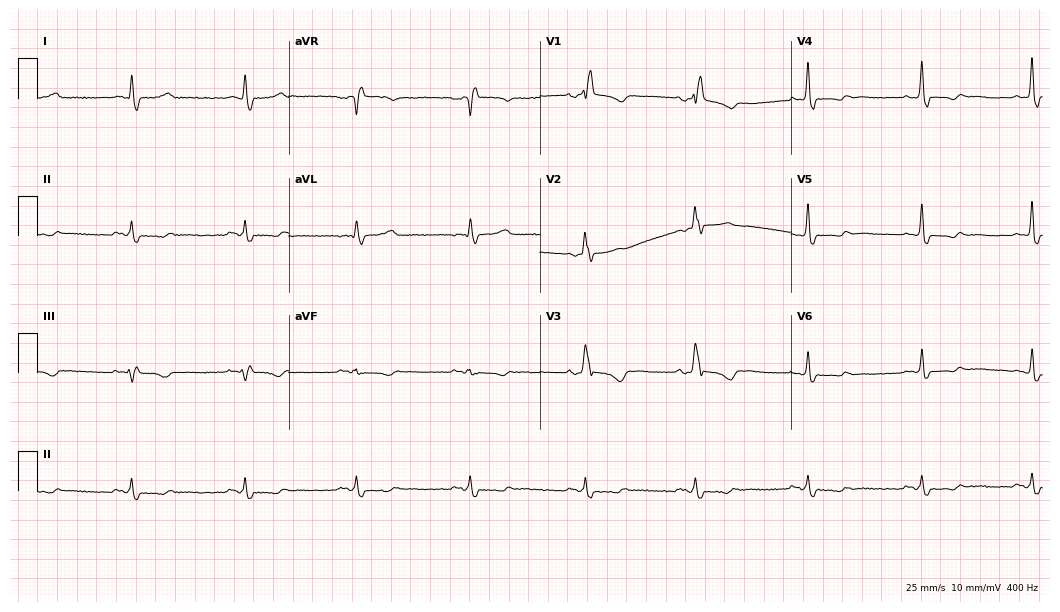
Standard 12-lead ECG recorded from a female patient, 65 years old. None of these six findings is recorded: first-degree AV block, right bundle branch block, left bundle branch block, sinus bradycardia, atrial fibrillation, sinus tachycardia.